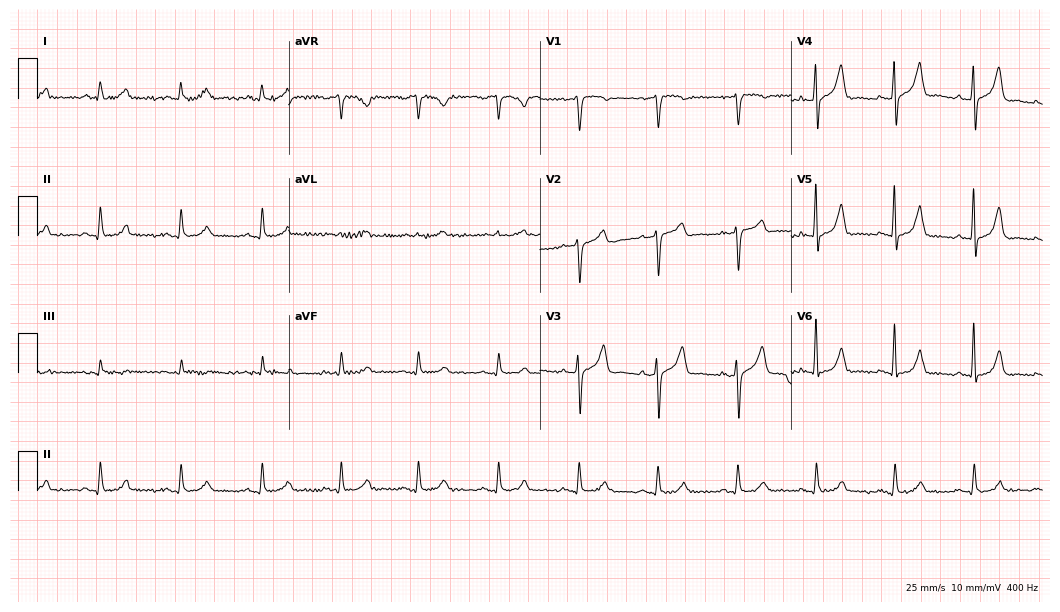
Standard 12-lead ECG recorded from a male, 66 years old. Read as a normal ECG.